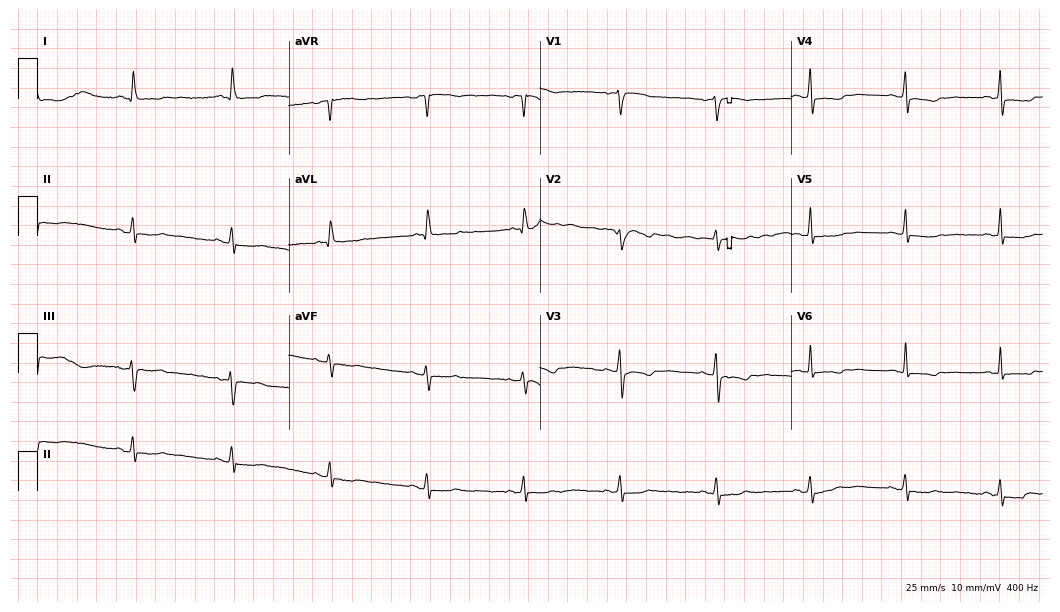
Electrocardiogram, a female, 55 years old. Of the six screened findings (first-degree AV block, right bundle branch block, left bundle branch block, sinus bradycardia, atrial fibrillation, sinus tachycardia), none is recorded.